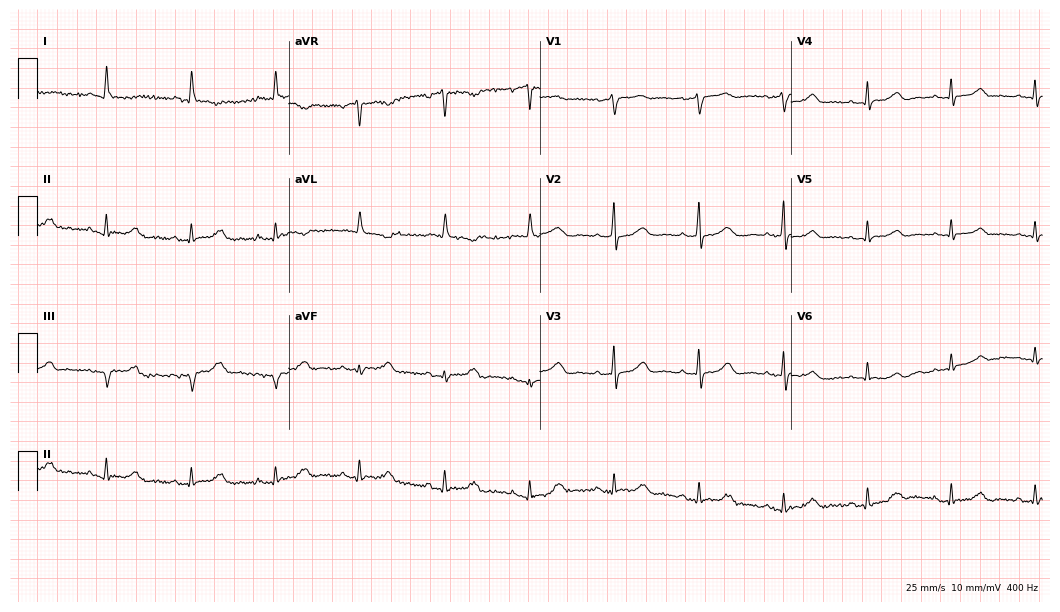
ECG (10.2-second recording at 400 Hz) — a 72-year-old female. Screened for six findings — first-degree AV block, right bundle branch block, left bundle branch block, sinus bradycardia, atrial fibrillation, sinus tachycardia — none is recorded.